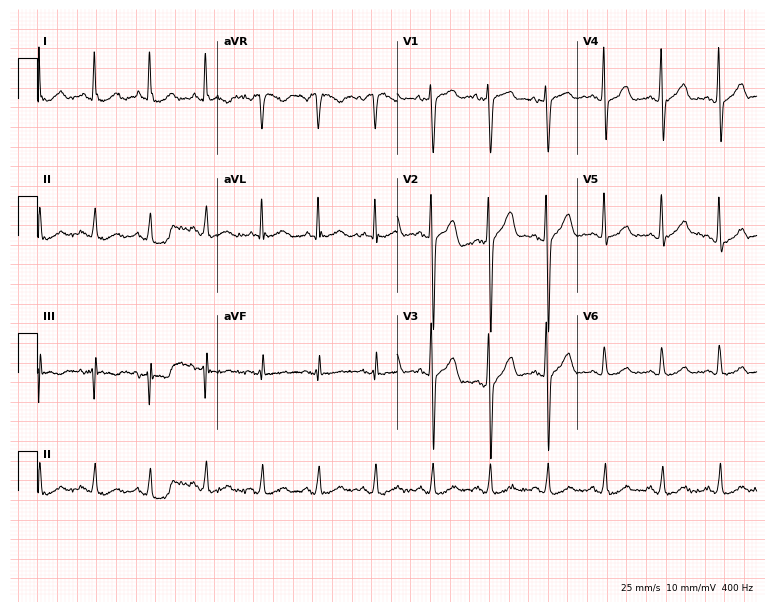
Electrocardiogram (7.3-second recording at 400 Hz), a male, 40 years old. Of the six screened findings (first-degree AV block, right bundle branch block (RBBB), left bundle branch block (LBBB), sinus bradycardia, atrial fibrillation (AF), sinus tachycardia), none is recorded. Other findings, if any, are not listed.